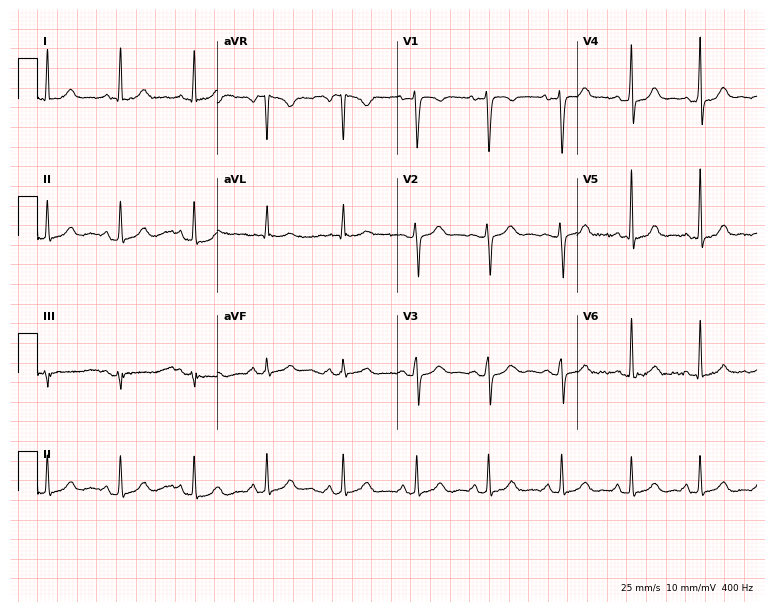
Resting 12-lead electrocardiogram. Patient: a 23-year-old female. None of these six findings is recorded: first-degree AV block, right bundle branch block (RBBB), left bundle branch block (LBBB), sinus bradycardia, atrial fibrillation (AF), sinus tachycardia. Other findings, if any, are not listed.